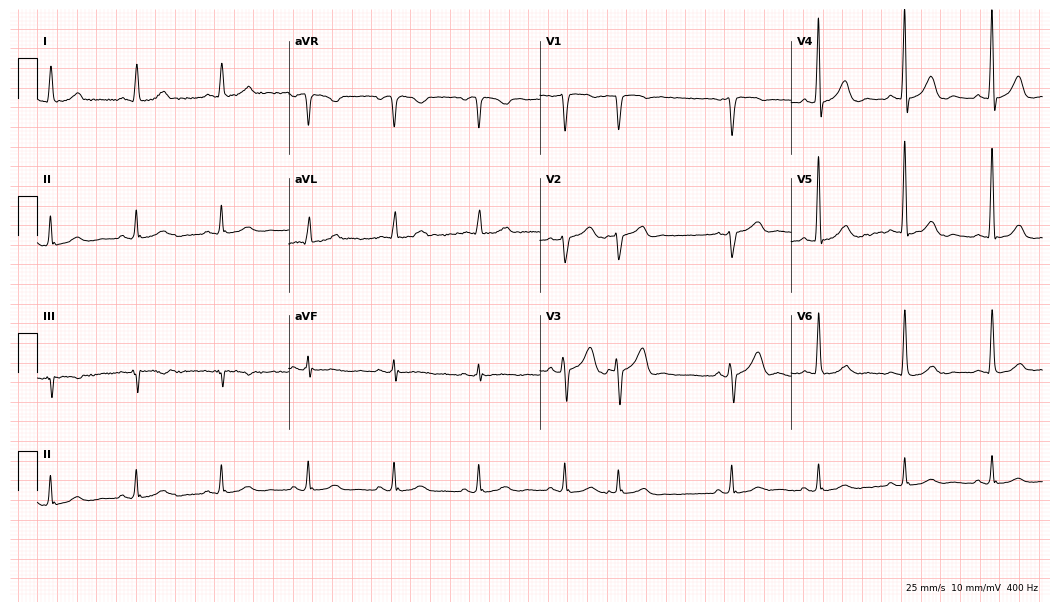
ECG (10.2-second recording at 400 Hz) — a 75-year-old male patient. Screened for six findings — first-degree AV block, right bundle branch block, left bundle branch block, sinus bradycardia, atrial fibrillation, sinus tachycardia — none is recorded.